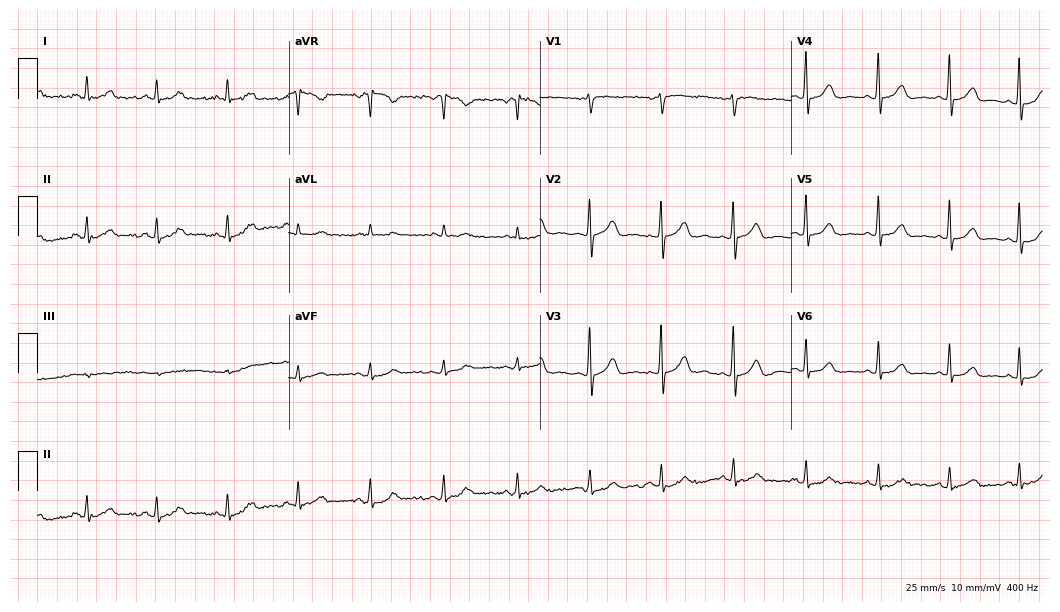
12-lead ECG from a female patient, 59 years old. Recorded interpretation: within normal limits.